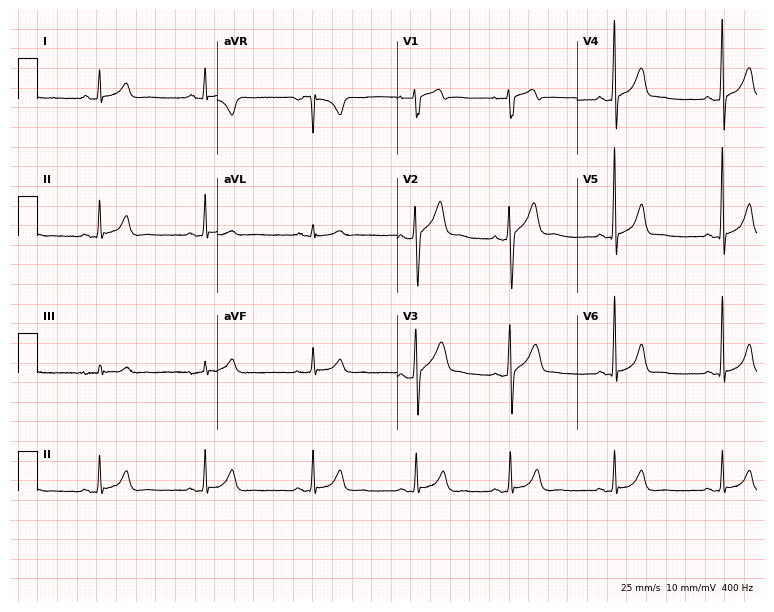
12-lead ECG from a 30-year-old male (7.3-second recording at 400 Hz). Recorded interpretation: within normal limits.